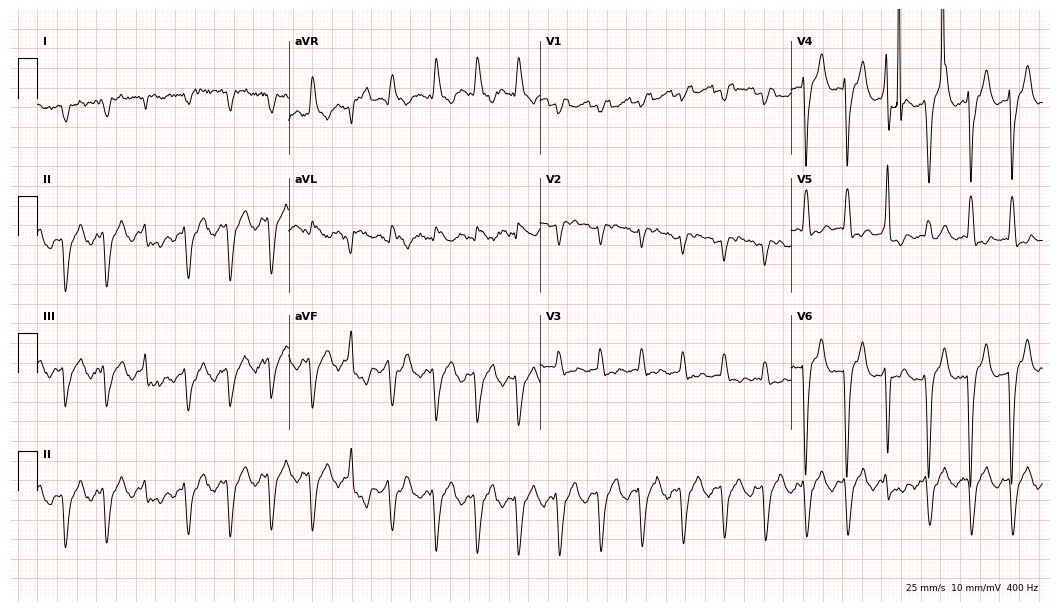
ECG — a man, 80 years old. Screened for six findings — first-degree AV block, right bundle branch block (RBBB), left bundle branch block (LBBB), sinus bradycardia, atrial fibrillation (AF), sinus tachycardia — none is recorded.